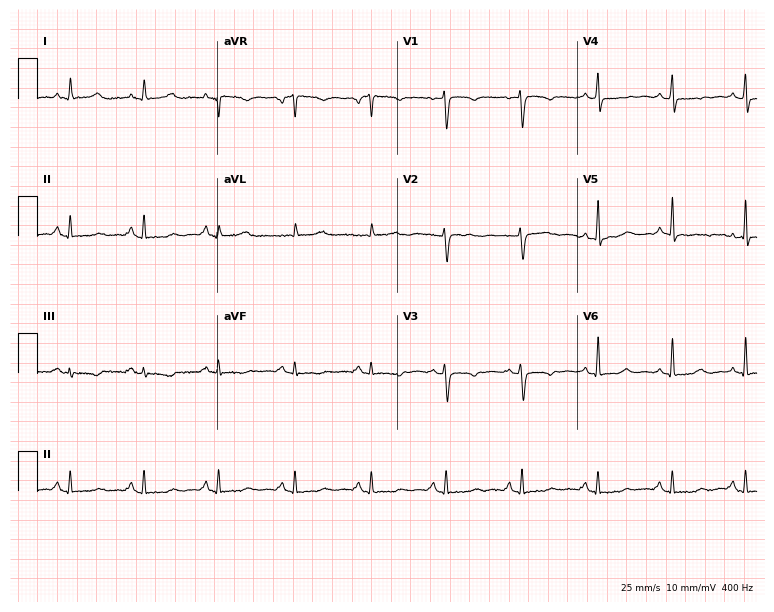
12-lead ECG from a 51-year-old female patient. Labelled as a normal ECG.